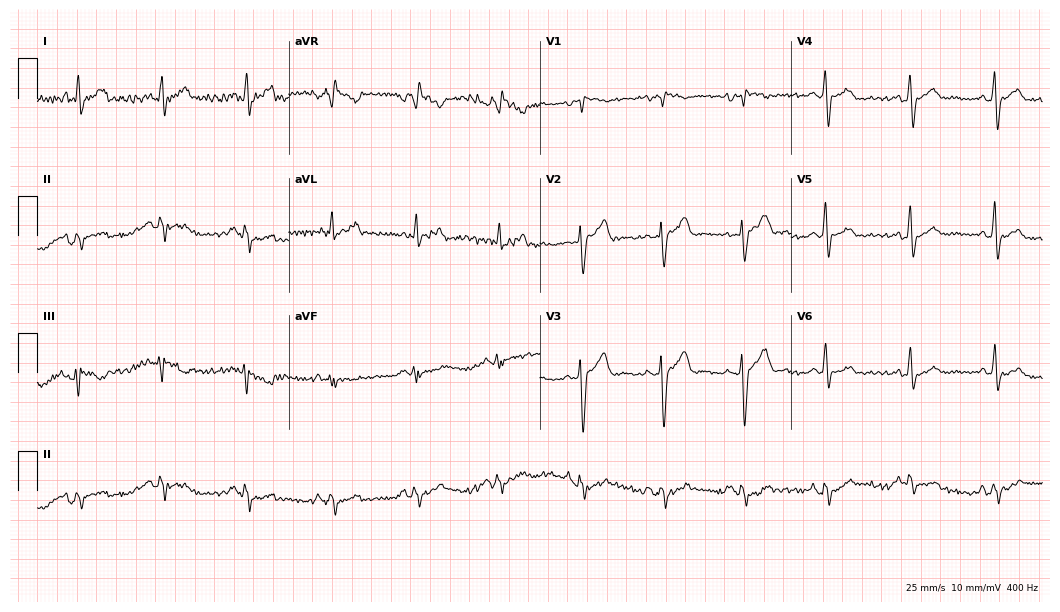
Standard 12-lead ECG recorded from a 37-year-old male patient (10.2-second recording at 400 Hz). None of these six findings is recorded: first-degree AV block, right bundle branch block (RBBB), left bundle branch block (LBBB), sinus bradycardia, atrial fibrillation (AF), sinus tachycardia. Other findings, if any, are not listed.